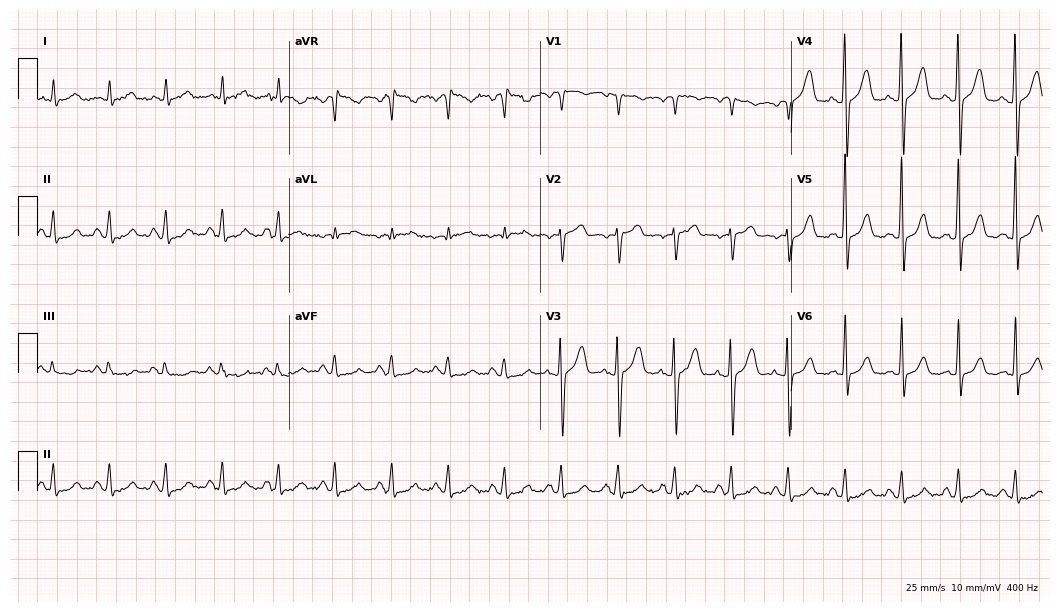
Standard 12-lead ECG recorded from a 59-year-old male patient (10.2-second recording at 400 Hz). The tracing shows sinus tachycardia (a sinus rate of 100 beats per minute or more).